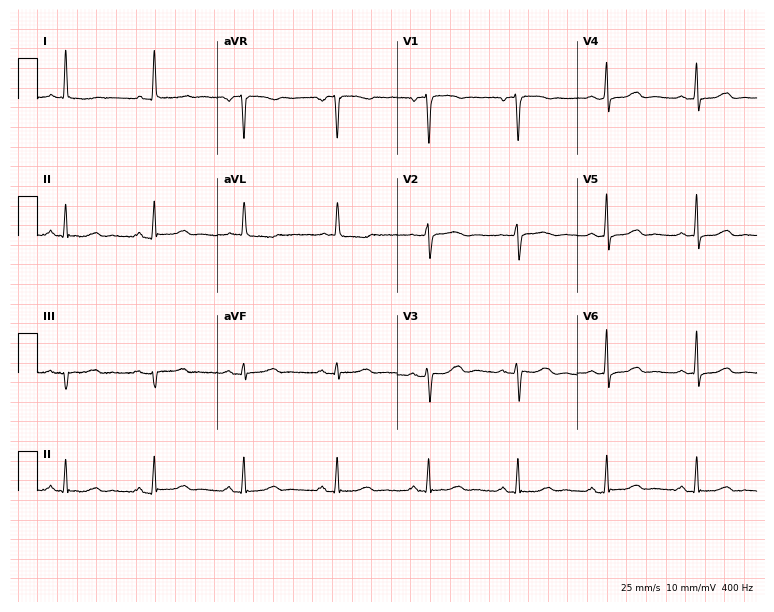
12-lead ECG (7.3-second recording at 400 Hz) from a 71-year-old female. Labelled as a normal ECG.